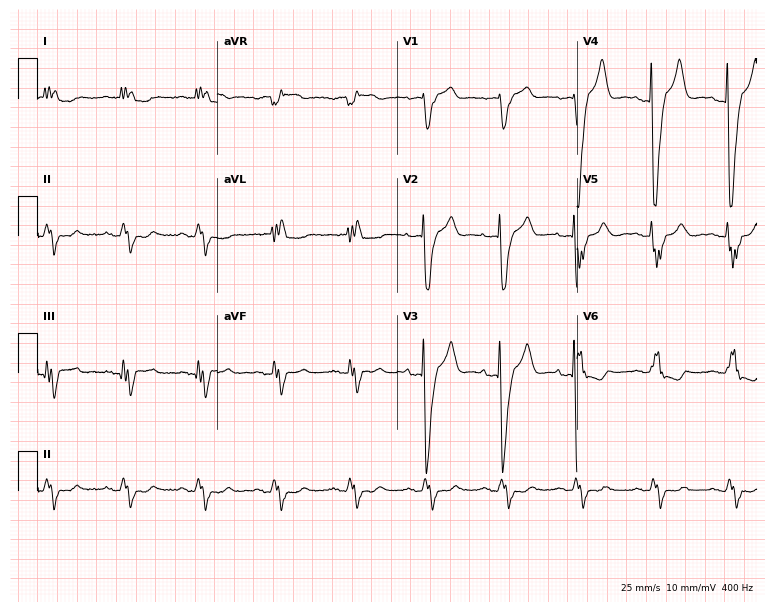
Resting 12-lead electrocardiogram. Patient: a woman, 74 years old. None of these six findings is recorded: first-degree AV block, right bundle branch block (RBBB), left bundle branch block (LBBB), sinus bradycardia, atrial fibrillation (AF), sinus tachycardia.